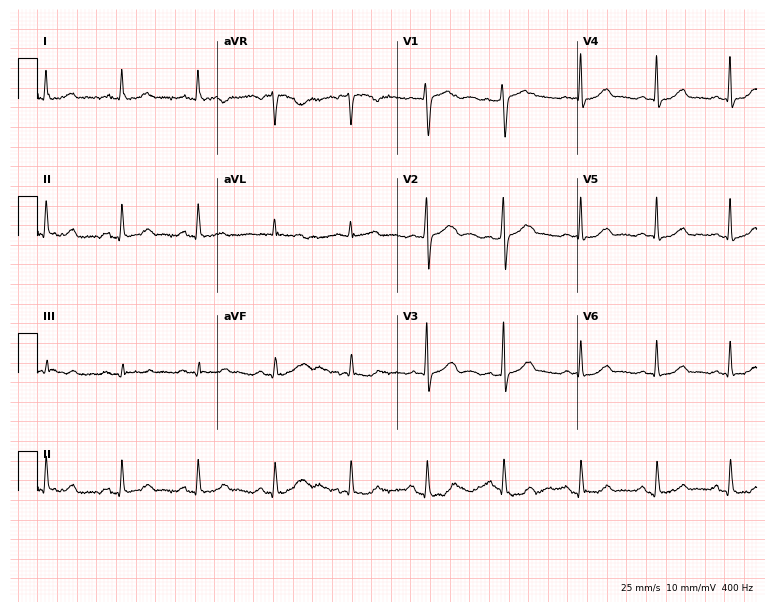
Resting 12-lead electrocardiogram. Patient: a 44-year-old female. Read as a normal ECG.